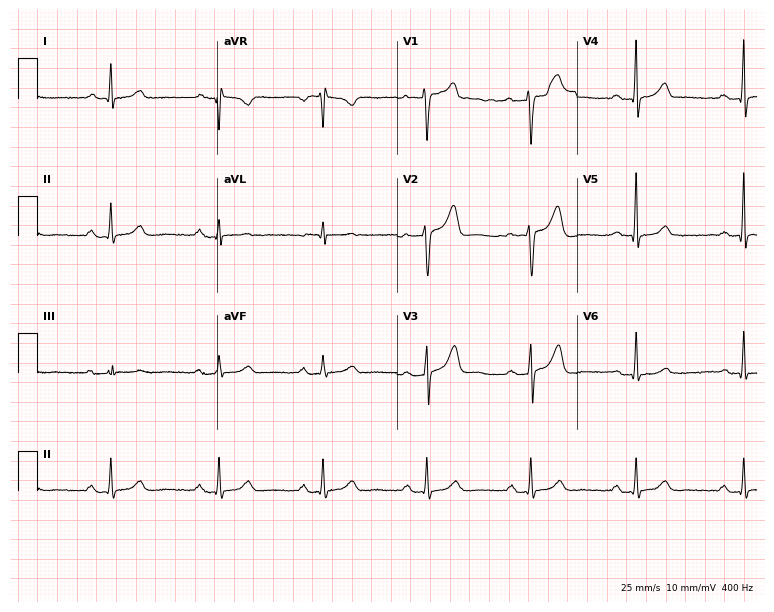
Electrocardiogram (7.3-second recording at 400 Hz), a 59-year-old male patient. Interpretation includes first-degree AV block.